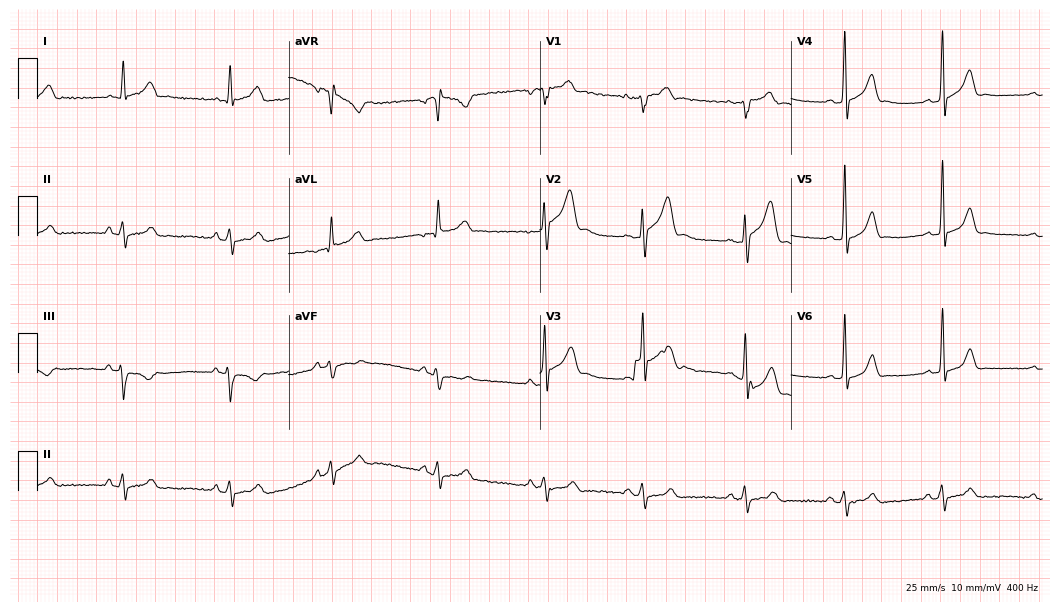
ECG — a 27-year-old male patient. Screened for six findings — first-degree AV block, right bundle branch block, left bundle branch block, sinus bradycardia, atrial fibrillation, sinus tachycardia — none is recorded. Other findings, if any, are not listed.